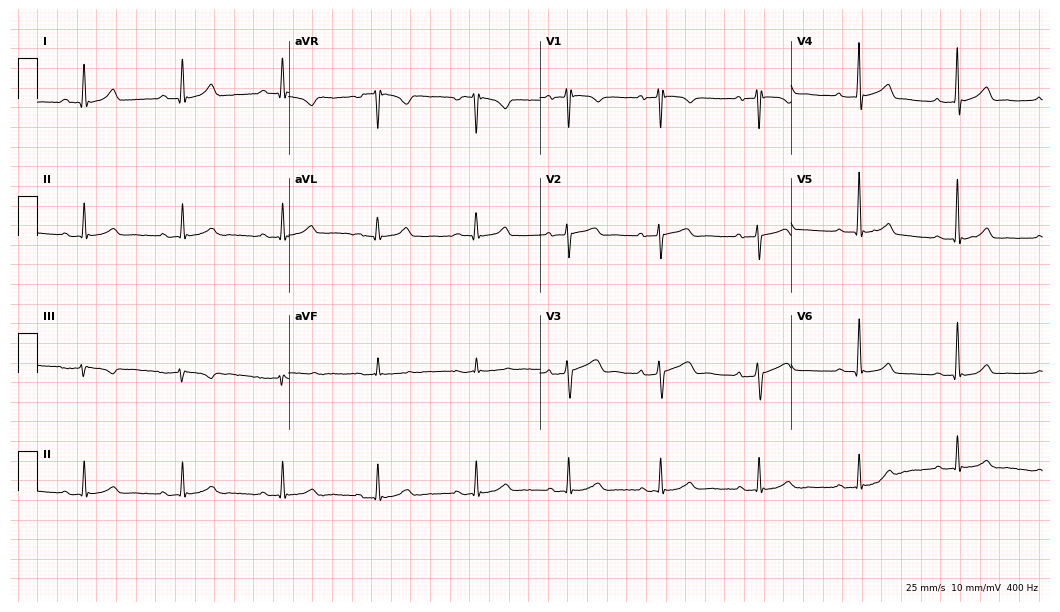
Electrocardiogram (10.2-second recording at 400 Hz), a 49-year-old male. Of the six screened findings (first-degree AV block, right bundle branch block (RBBB), left bundle branch block (LBBB), sinus bradycardia, atrial fibrillation (AF), sinus tachycardia), none is recorded. Other findings, if any, are not listed.